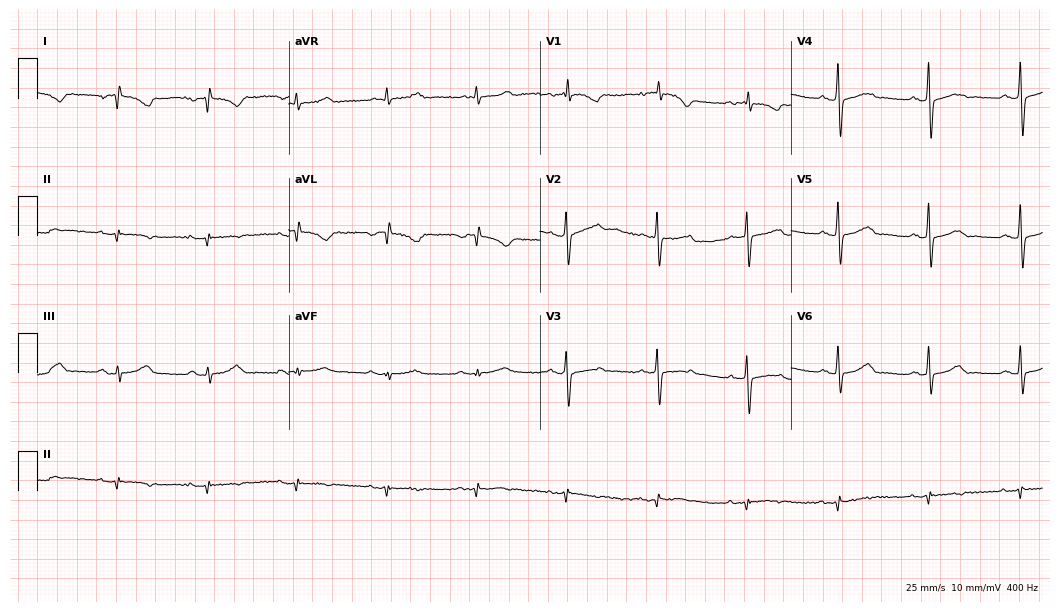
Electrocardiogram (10.2-second recording at 400 Hz), a 70-year-old female. Of the six screened findings (first-degree AV block, right bundle branch block, left bundle branch block, sinus bradycardia, atrial fibrillation, sinus tachycardia), none is recorded. Findings outside these six are not listed.